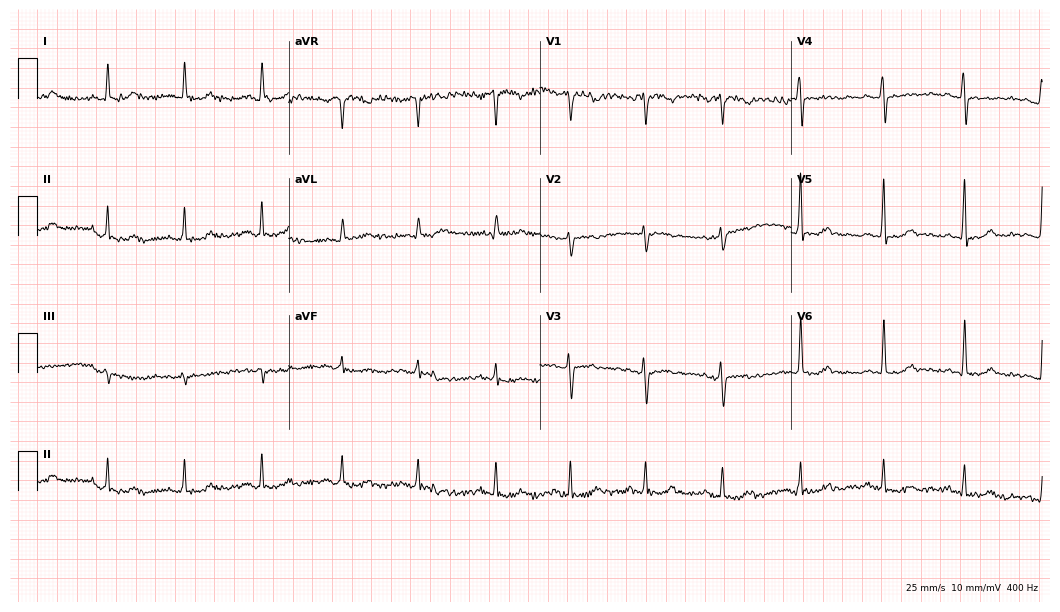
12-lead ECG from a 41-year-old female patient. Screened for six findings — first-degree AV block, right bundle branch block, left bundle branch block, sinus bradycardia, atrial fibrillation, sinus tachycardia — none is recorded. Only these six findings were labelled.